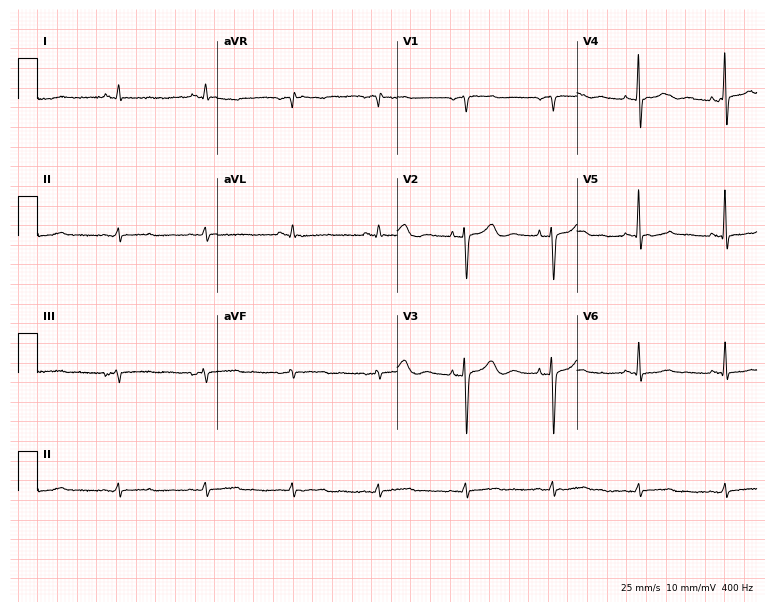
ECG (7.3-second recording at 400 Hz) — a female, 74 years old. Screened for six findings — first-degree AV block, right bundle branch block, left bundle branch block, sinus bradycardia, atrial fibrillation, sinus tachycardia — none is recorded. Only these six findings were labelled.